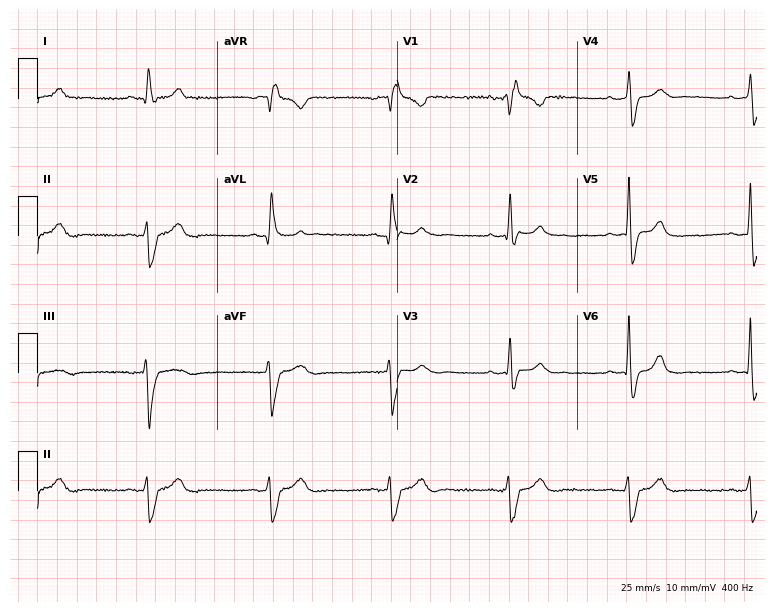
Standard 12-lead ECG recorded from a 70-year-old female (7.3-second recording at 400 Hz). The tracing shows right bundle branch block (RBBB), sinus bradycardia (a sinus rate of 50 beats per minute or less).